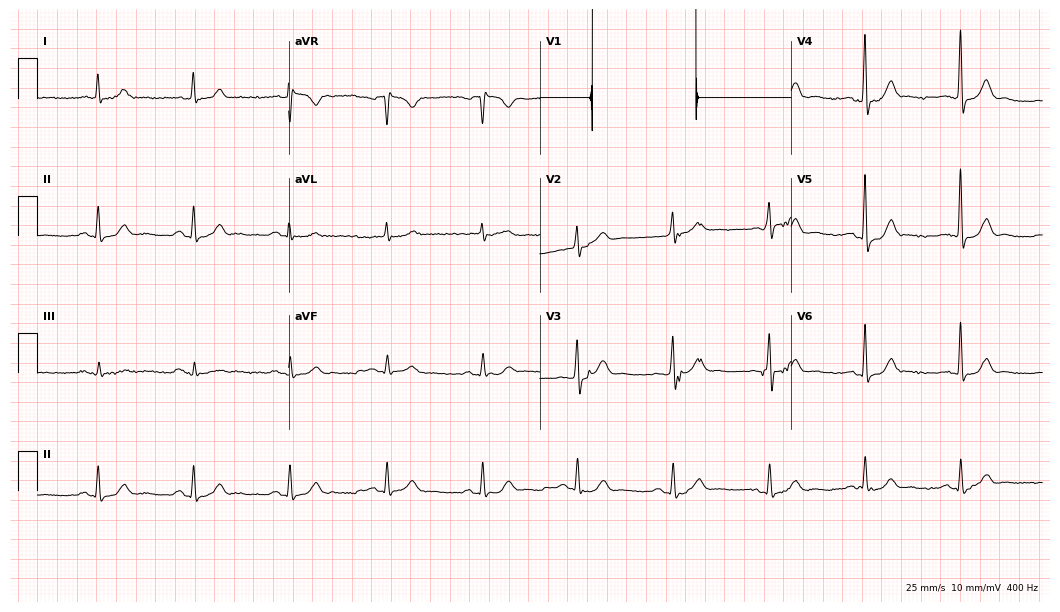
ECG — a 66-year-old male. Labelled as a normal ECG.